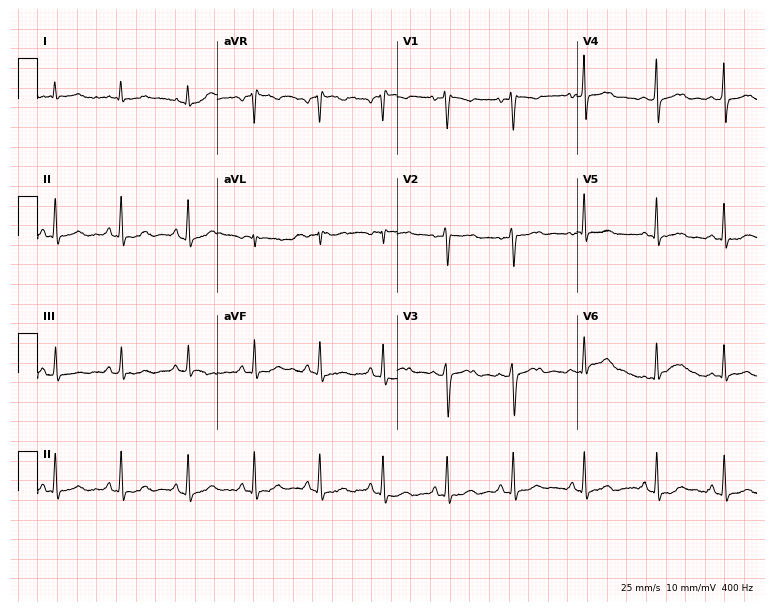
12-lead ECG from a 34-year-old man. No first-degree AV block, right bundle branch block (RBBB), left bundle branch block (LBBB), sinus bradycardia, atrial fibrillation (AF) or sinus tachycardia recorded for this tracing.